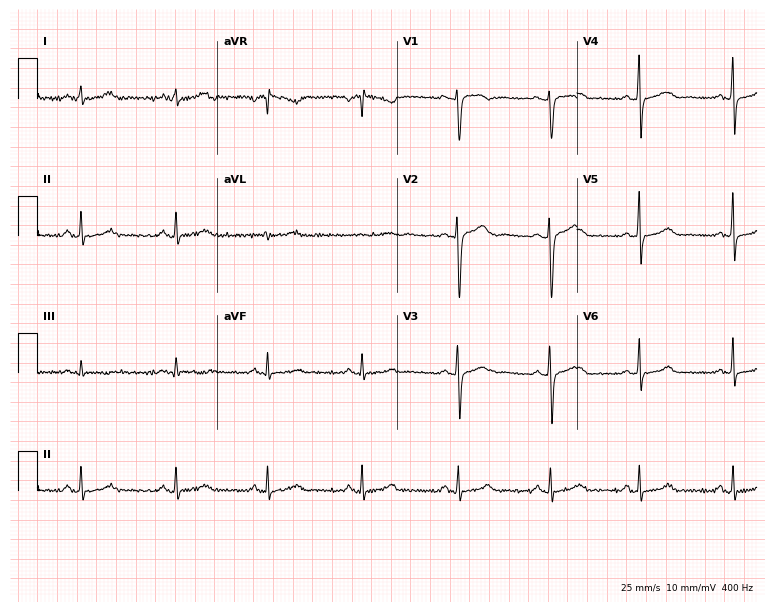
12-lead ECG from a 35-year-old female patient (7.3-second recording at 400 Hz). Recorded interpretation: within normal limits.